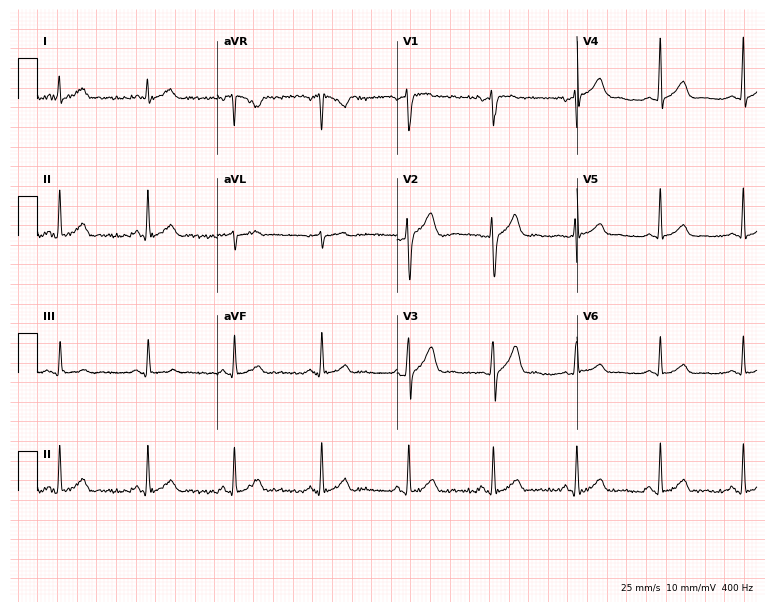
Standard 12-lead ECG recorded from a male patient, 33 years old. Read as a normal ECG.